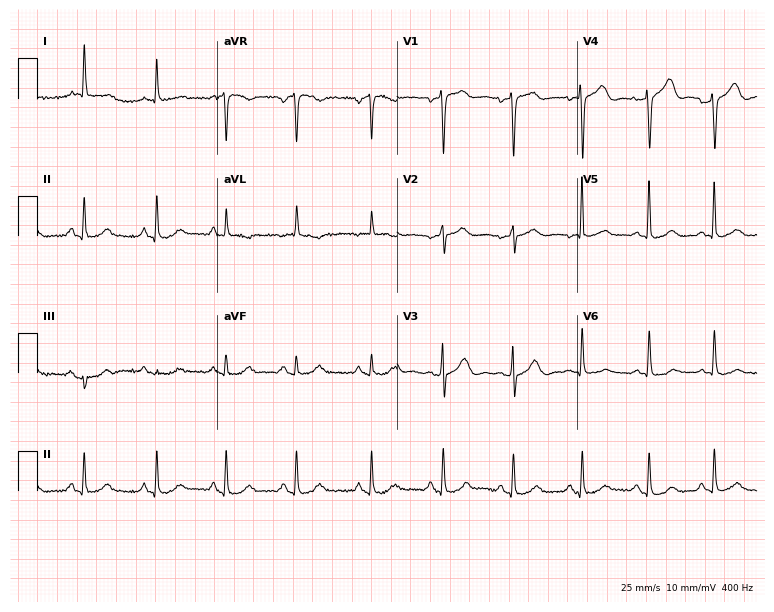
Standard 12-lead ECG recorded from a 79-year-old woman. None of these six findings is recorded: first-degree AV block, right bundle branch block (RBBB), left bundle branch block (LBBB), sinus bradycardia, atrial fibrillation (AF), sinus tachycardia. Only these six findings were labelled.